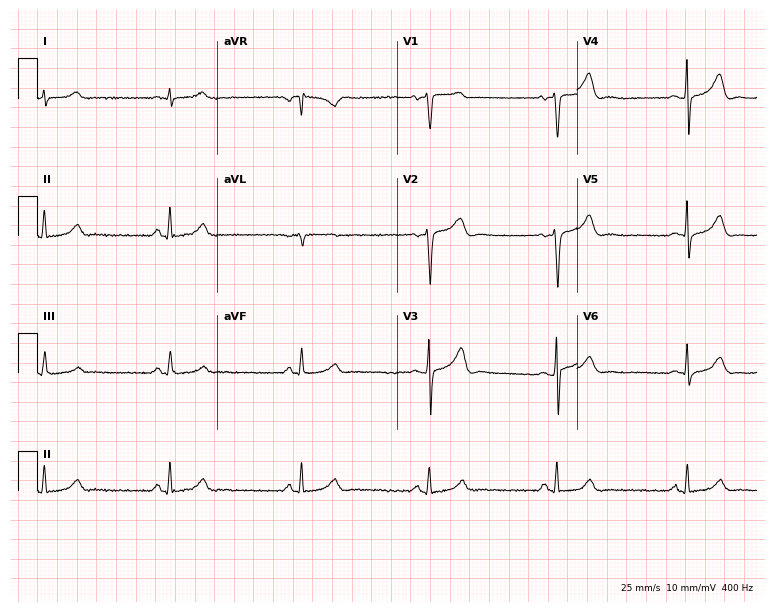
Resting 12-lead electrocardiogram (7.3-second recording at 400 Hz). Patient: a 38-year-old man. None of these six findings is recorded: first-degree AV block, right bundle branch block, left bundle branch block, sinus bradycardia, atrial fibrillation, sinus tachycardia. Other findings, if any, are not listed.